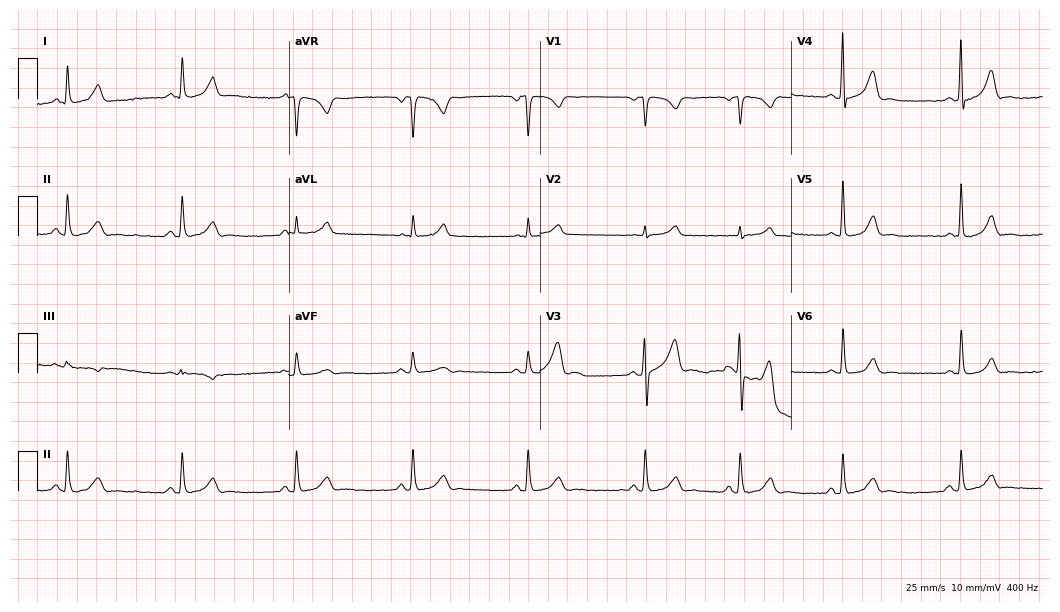
ECG — a male patient, 56 years old. Labelled as a normal ECG.